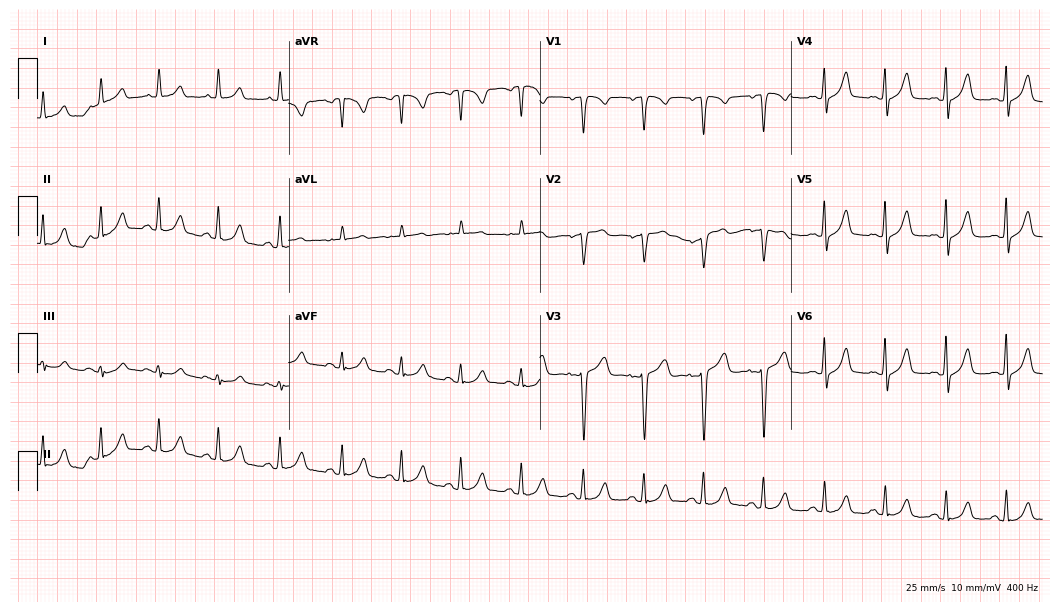
12-lead ECG from a 37-year-old female patient. Recorded interpretation: within normal limits.